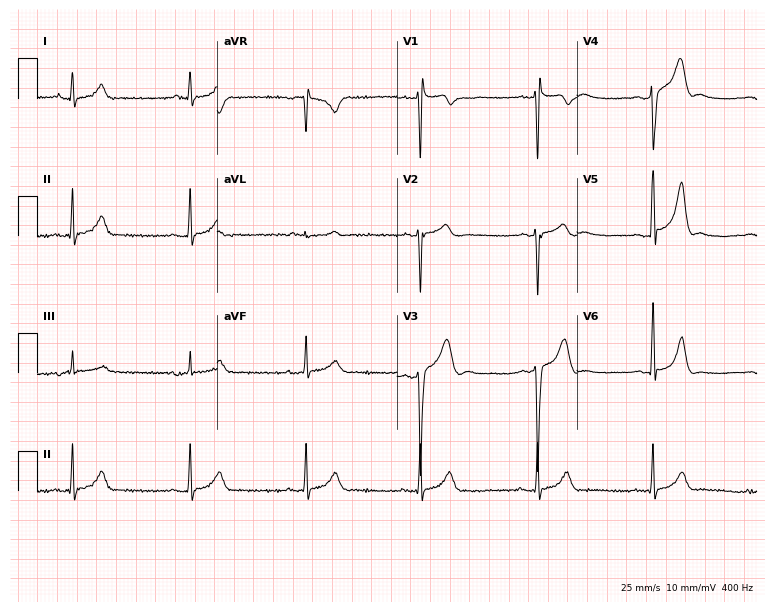
Standard 12-lead ECG recorded from a 42-year-old man (7.3-second recording at 400 Hz). The tracing shows sinus bradycardia (a sinus rate of 50 beats per minute or less).